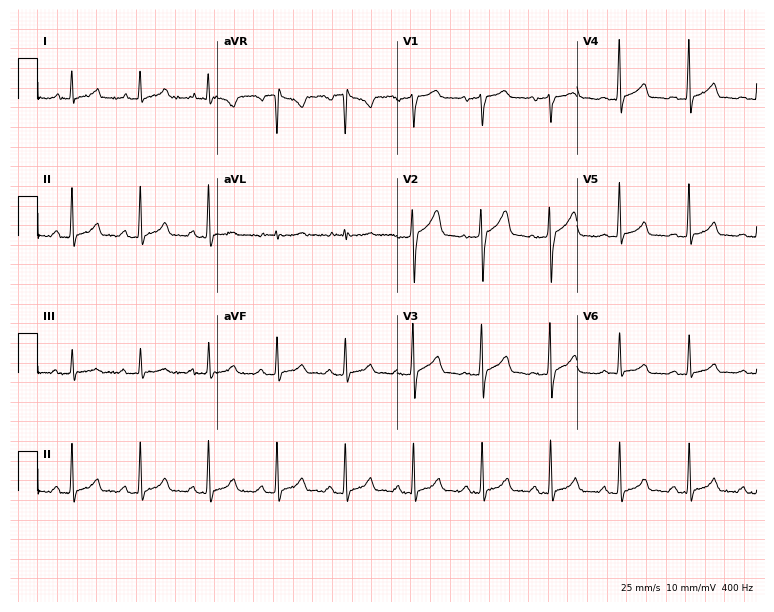
Resting 12-lead electrocardiogram (7.3-second recording at 400 Hz). Patient: a 51-year-old female. None of these six findings is recorded: first-degree AV block, right bundle branch block, left bundle branch block, sinus bradycardia, atrial fibrillation, sinus tachycardia. Findings outside these six are not listed.